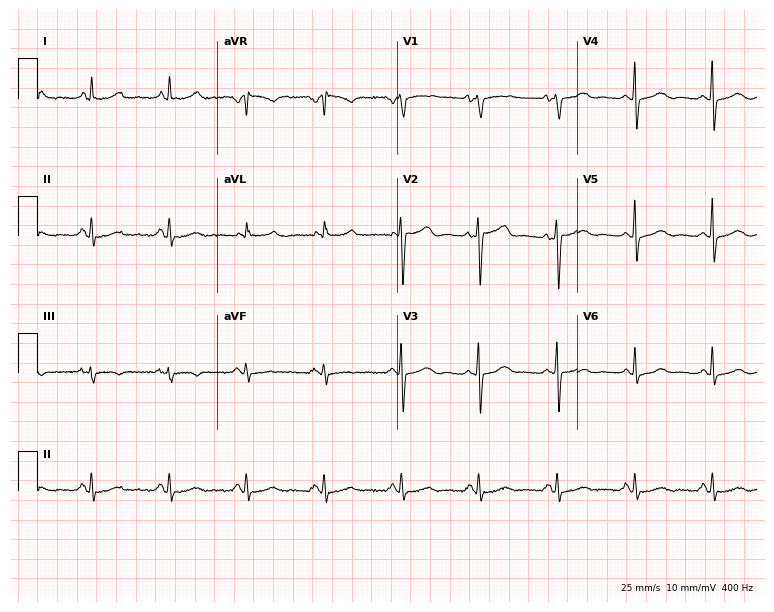
12-lead ECG from a 60-year-old female patient (7.3-second recording at 400 Hz). Recorded interpretation: within normal limits.